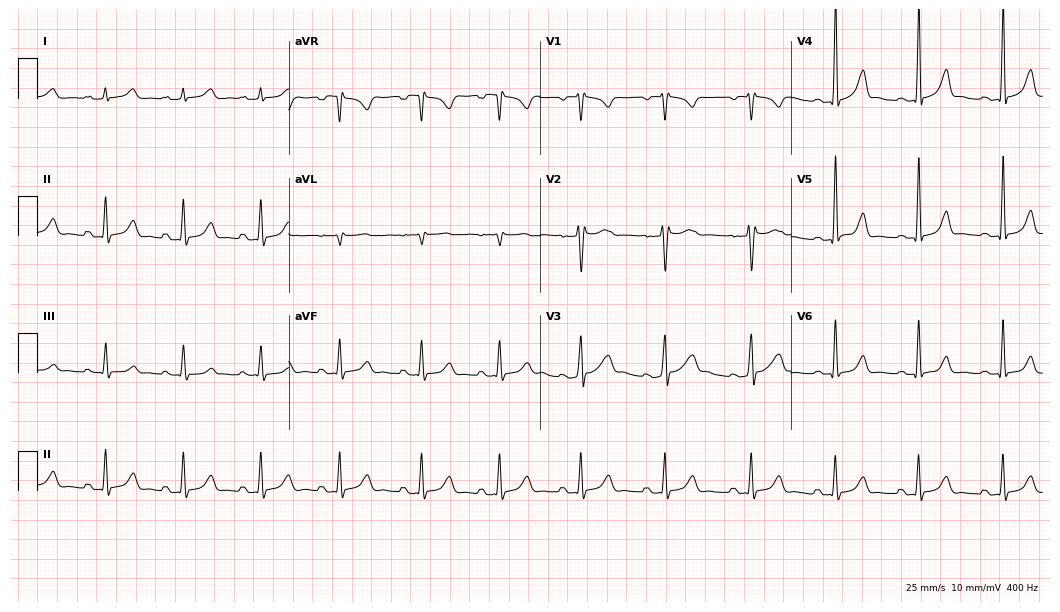
Resting 12-lead electrocardiogram. Patient: a 23-year-old female. None of these six findings is recorded: first-degree AV block, right bundle branch block (RBBB), left bundle branch block (LBBB), sinus bradycardia, atrial fibrillation (AF), sinus tachycardia.